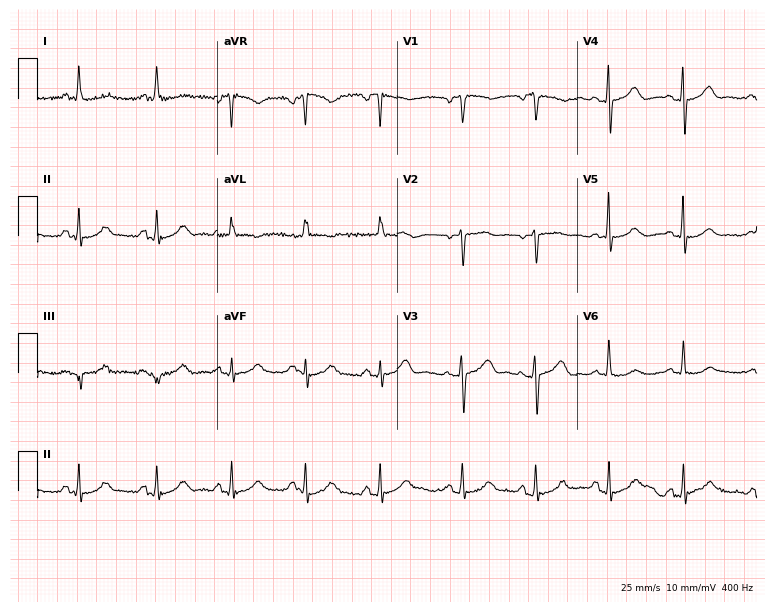
Electrocardiogram (7.3-second recording at 400 Hz), a 71-year-old woman. Overall reading on record: normal ECG.